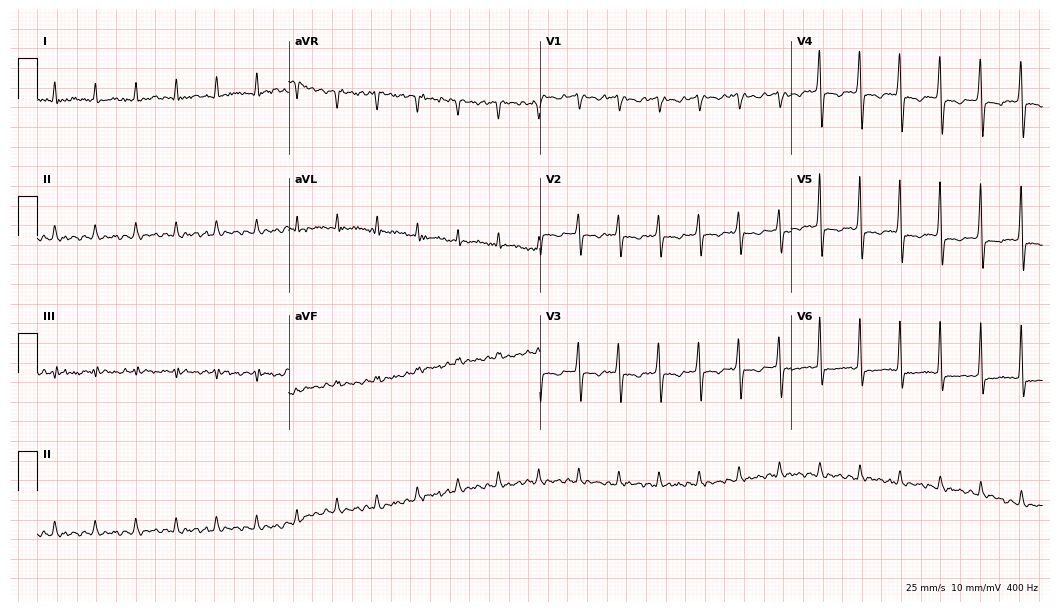
ECG (10.2-second recording at 400 Hz) — a male, 57 years old. Findings include sinus tachycardia (a sinus rate of 100 beats per minute or more).